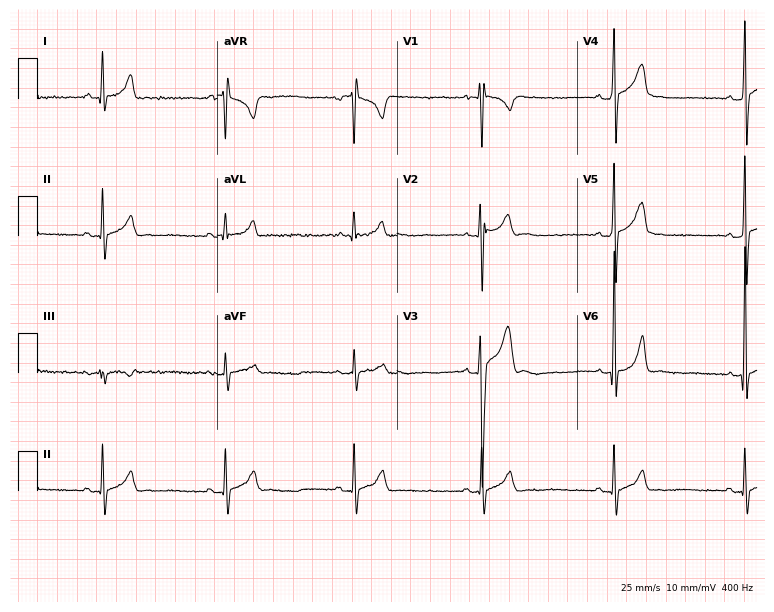
Resting 12-lead electrocardiogram. Patient: a male, 21 years old. The tracing shows sinus bradycardia (a sinus rate of 50 beats per minute or less).